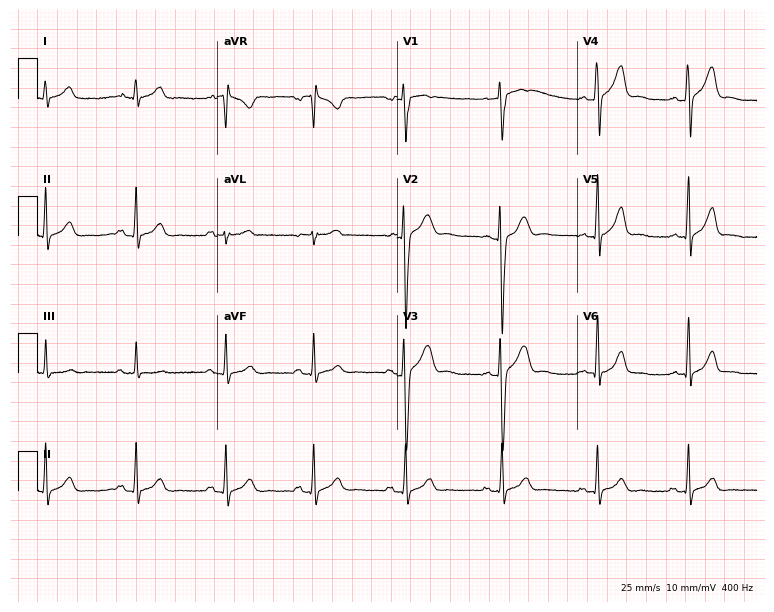
Standard 12-lead ECG recorded from a male patient, 25 years old (7.3-second recording at 400 Hz). Read as a normal ECG.